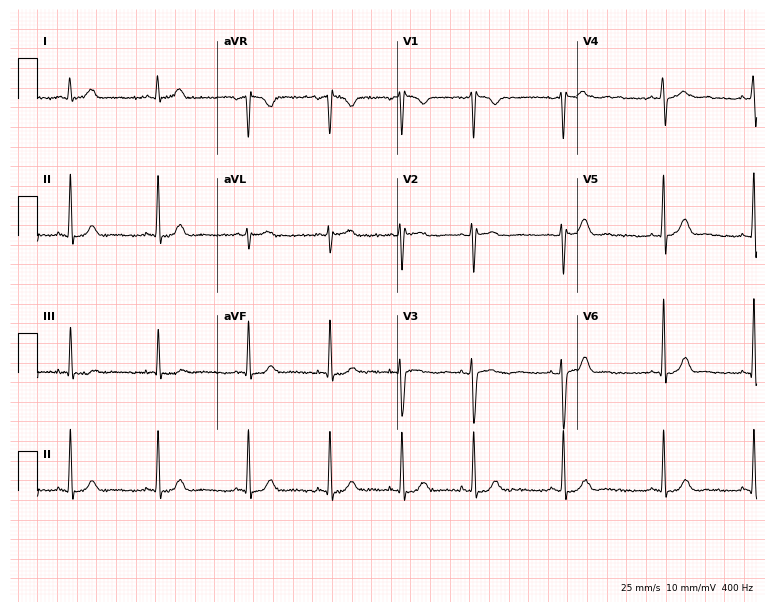
12-lead ECG from a female patient, 19 years old. Recorded interpretation: within normal limits.